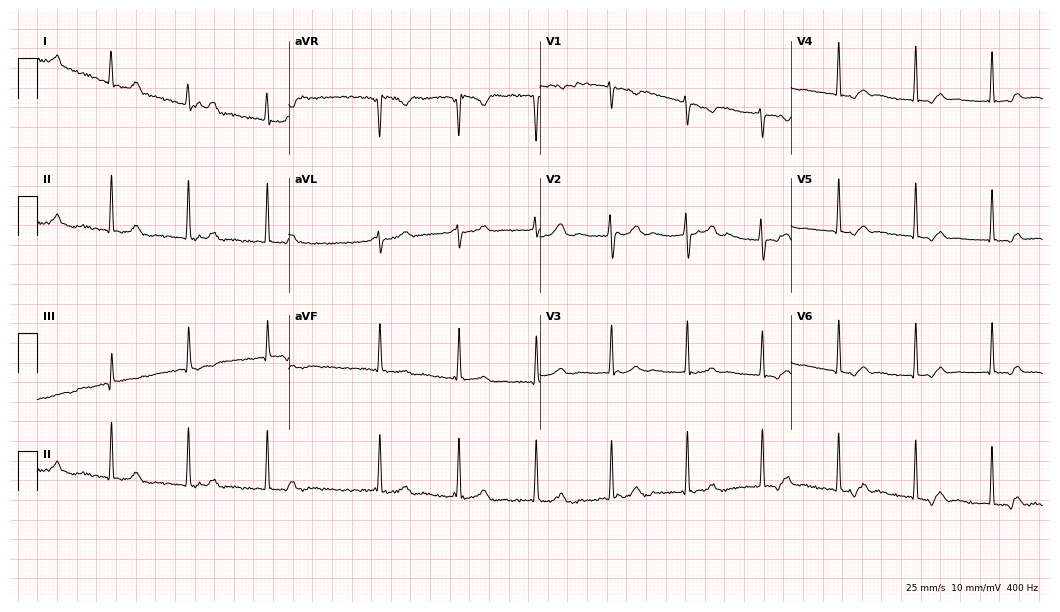
12-lead ECG from a 21-year-old woman. Labelled as a normal ECG.